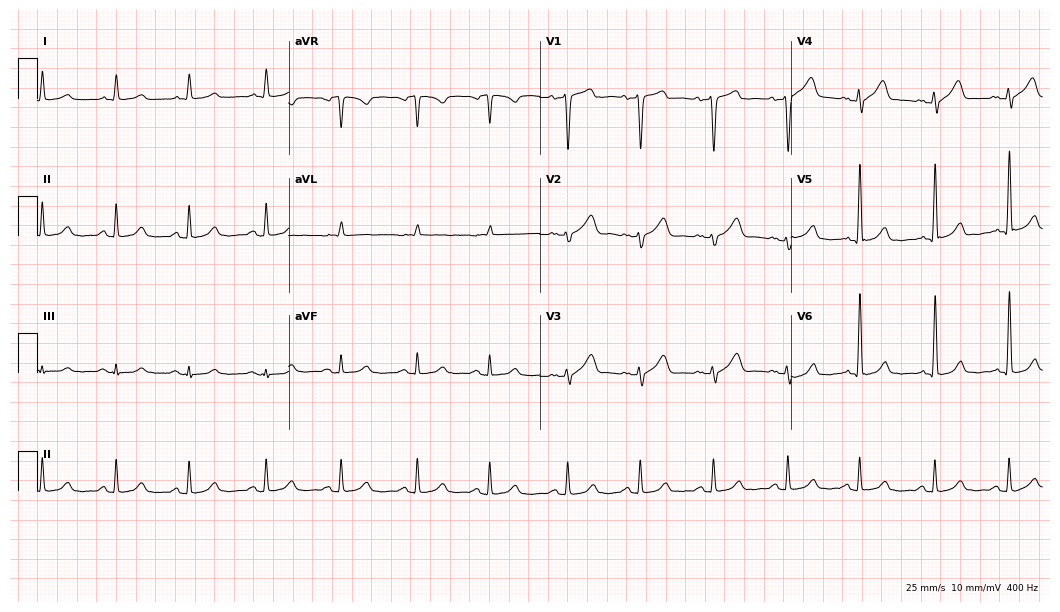
Resting 12-lead electrocardiogram. Patient: an 80-year-old male. None of these six findings is recorded: first-degree AV block, right bundle branch block, left bundle branch block, sinus bradycardia, atrial fibrillation, sinus tachycardia.